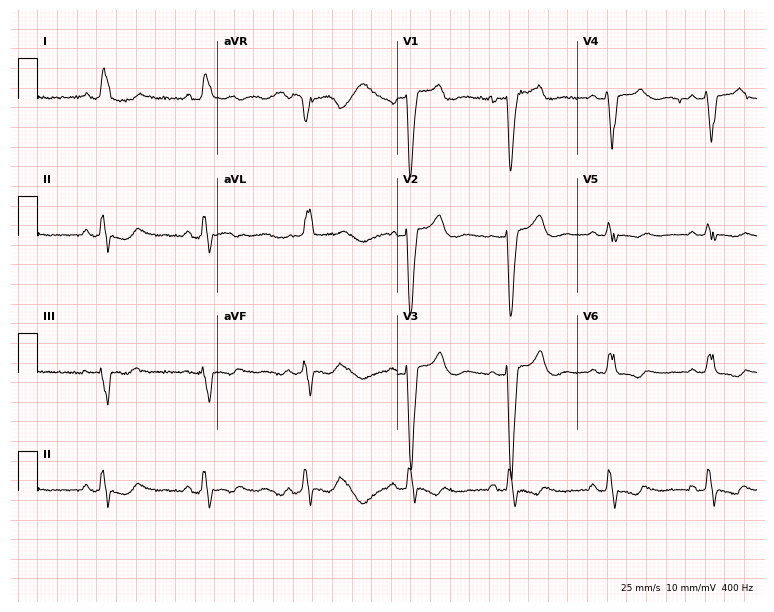
12-lead ECG from a female, 61 years old (7.3-second recording at 400 Hz). Shows left bundle branch block (LBBB).